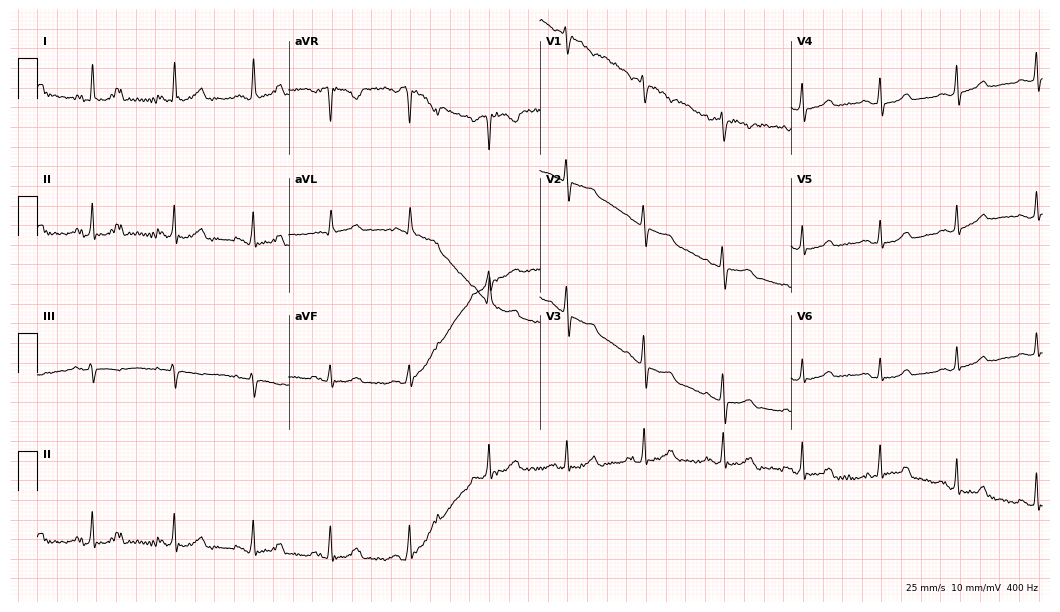
12-lead ECG (10.2-second recording at 400 Hz) from a woman, 46 years old. Labelled as a normal ECG.